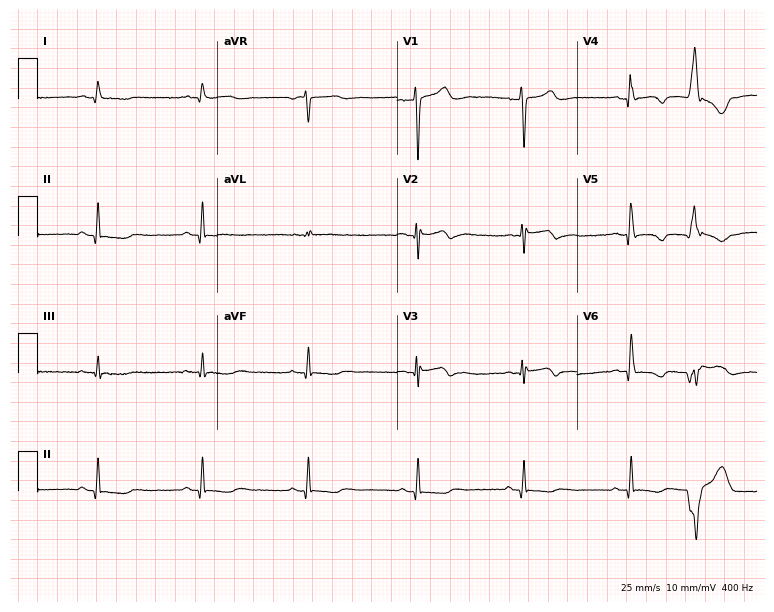
12-lead ECG (7.3-second recording at 400 Hz) from a man, 65 years old. Screened for six findings — first-degree AV block, right bundle branch block, left bundle branch block, sinus bradycardia, atrial fibrillation, sinus tachycardia — none is recorded. Only these six findings were labelled.